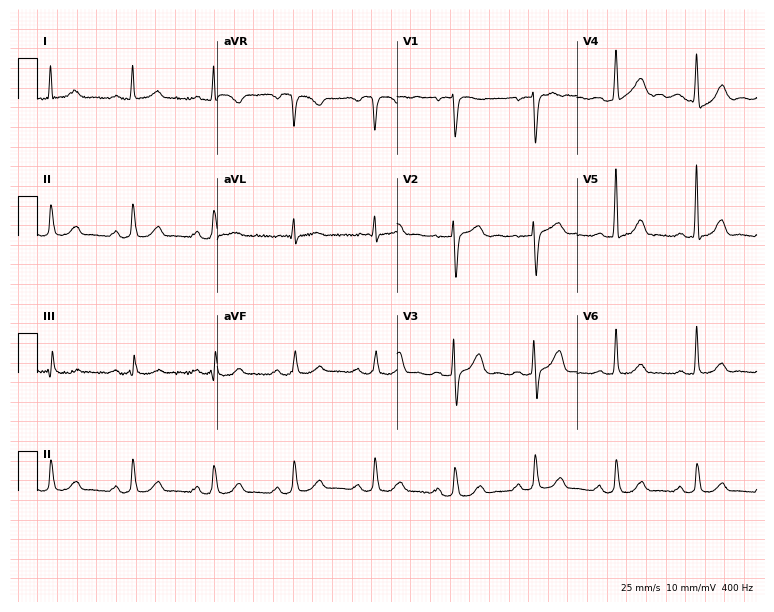
Electrocardiogram, a male, 59 years old. Overall reading on record: normal ECG.